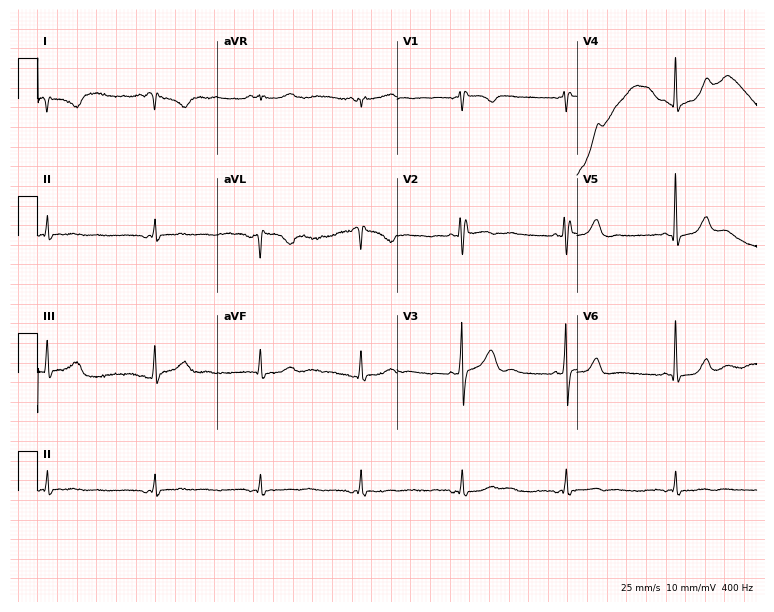
12-lead ECG from a 39-year-old female. No first-degree AV block, right bundle branch block, left bundle branch block, sinus bradycardia, atrial fibrillation or sinus tachycardia recorded for this tracing. Findings outside these six are not listed.